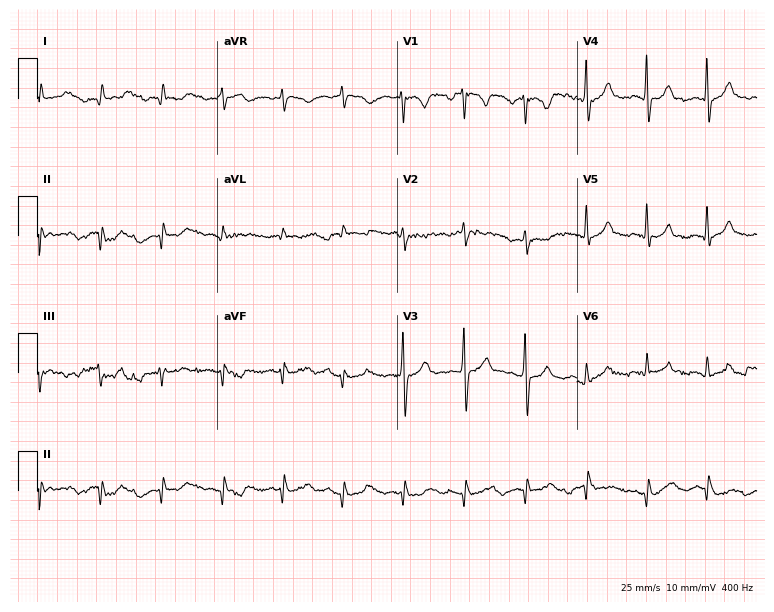
Resting 12-lead electrocardiogram. Patient: a 50-year-old male. None of these six findings is recorded: first-degree AV block, right bundle branch block (RBBB), left bundle branch block (LBBB), sinus bradycardia, atrial fibrillation (AF), sinus tachycardia. Findings outside these six are not listed.